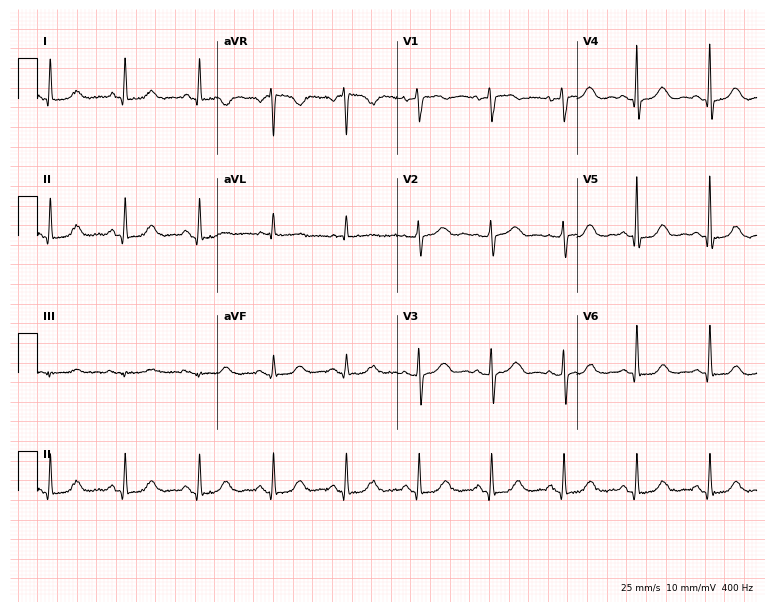
Standard 12-lead ECG recorded from a woman, 62 years old. Read as a normal ECG.